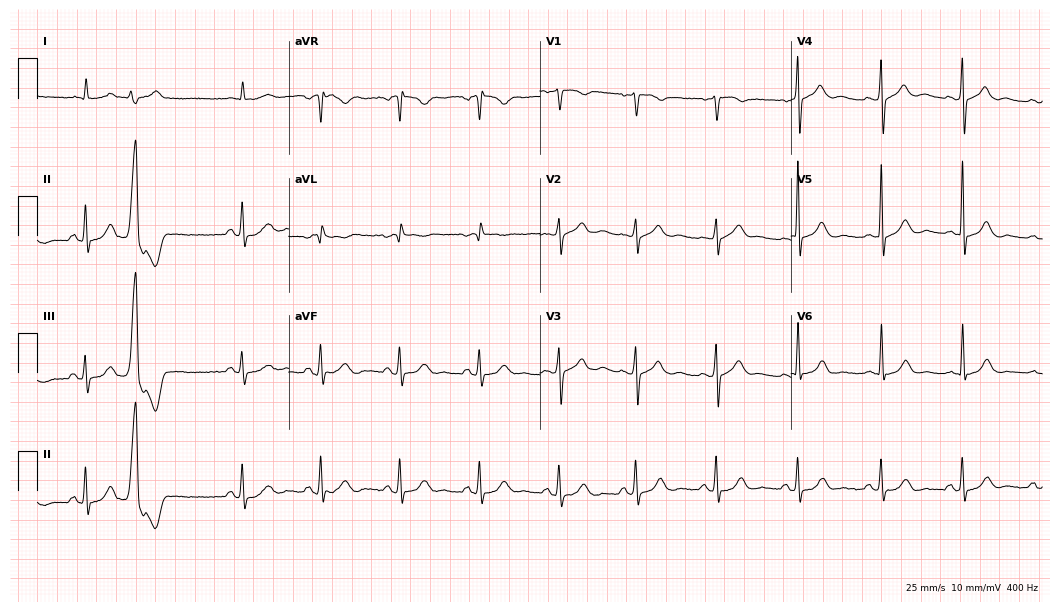
Electrocardiogram, a female, 80 years old. Of the six screened findings (first-degree AV block, right bundle branch block, left bundle branch block, sinus bradycardia, atrial fibrillation, sinus tachycardia), none is recorded. Other findings, if any, are not listed.